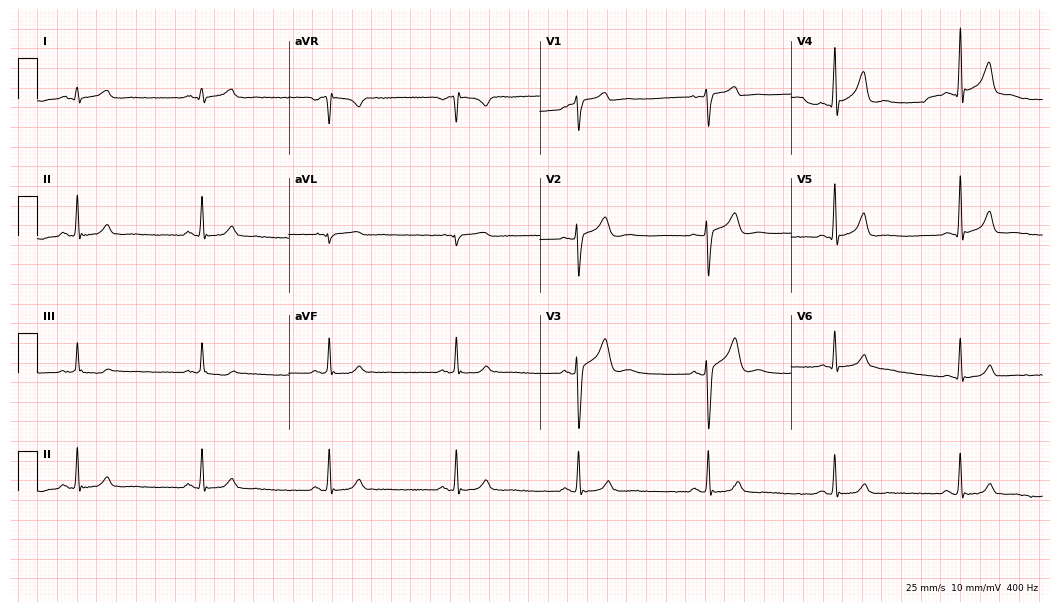
Standard 12-lead ECG recorded from a man, 26 years old (10.2-second recording at 400 Hz). None of these six findings is recorded: first-degree AV block, right bundle branch block (RBBB), left bundle branch block (LBBB), sinus bradycardia, atrial fibrillation (AF), sinus tachycardia. Other findings, if any, are not listed.